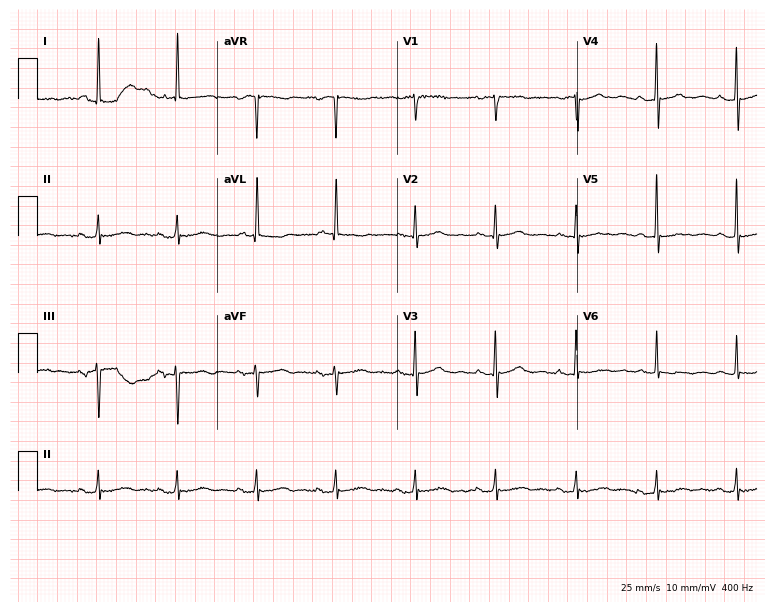
Standard 12-lead ECG recorded from a female, 79 years old. Read as a normal ECG.